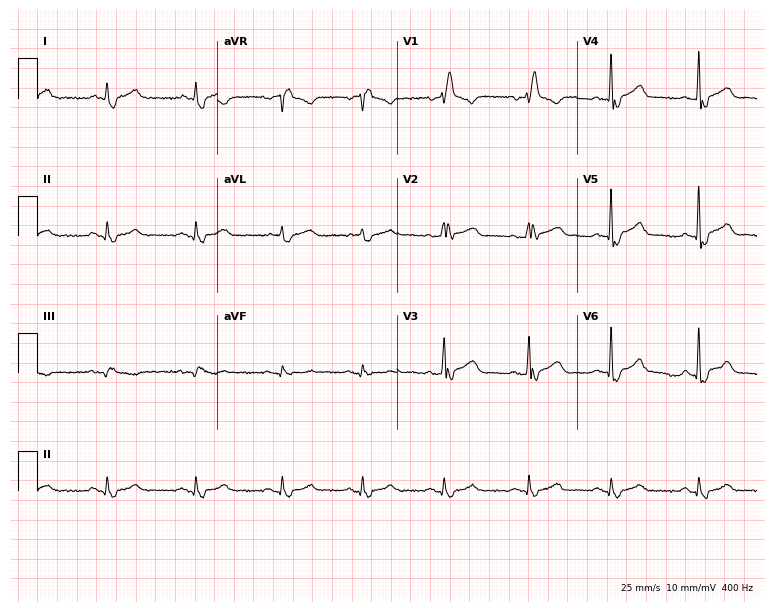
Standard 12-lead ECG recorded from a male patient, 70 years old (7.3-second recording at 400 Hz). None of these six findings is recorded: first-degree AV block, right bundle branch block, left bundle branch block, sinus bradycardia, atrial fibrillation, sinus tachycardia.